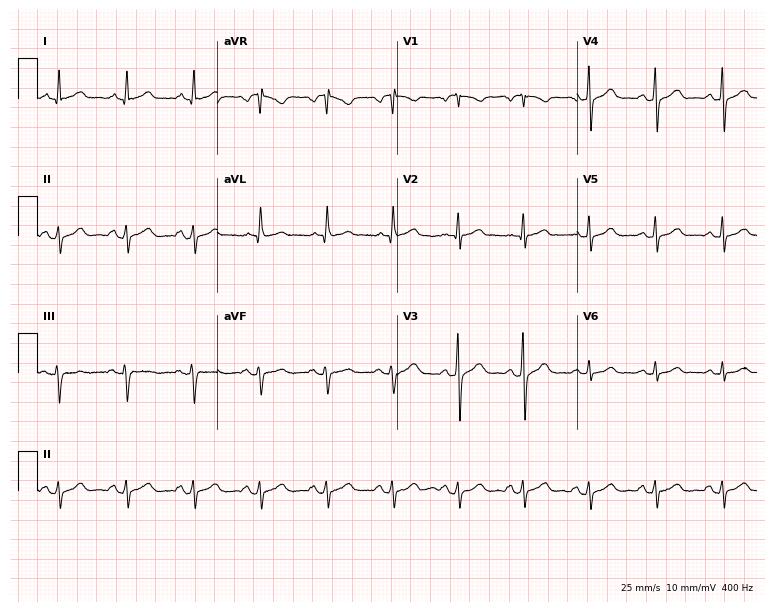
Standard 12-lead ECG recorded from a man, 59 years old (7.3-second recording at 400 Hz). None of these six findings is recorded: first-degree AV block, right bundle branch block (RBBB), left bundle branch block (LBBB), sinus bradycardia, atrial fibrillation (AF), sinus tachycardia. Only these six findings were labelled.